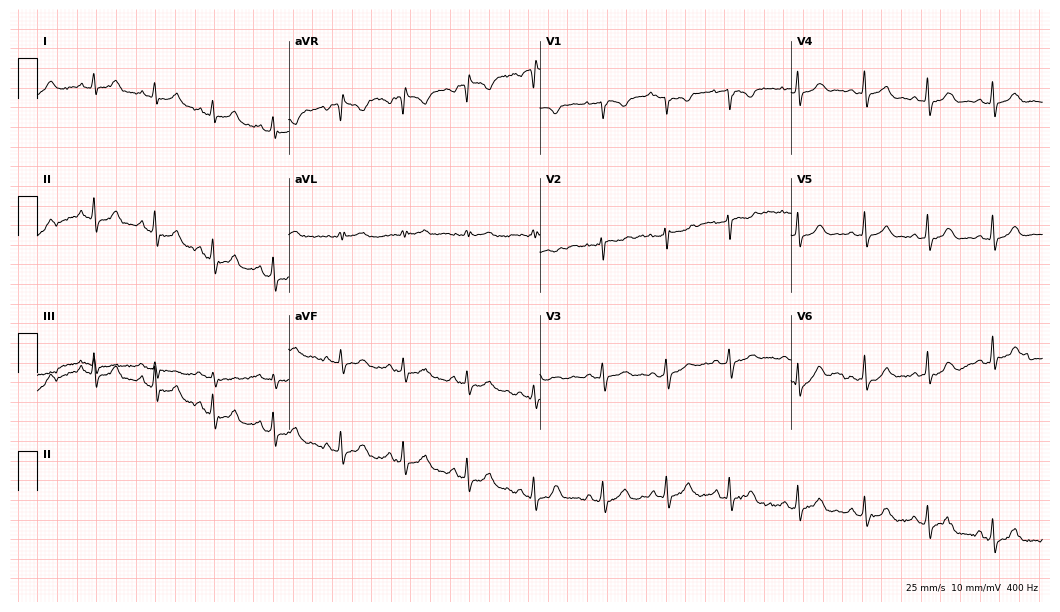
ECG (10.2-second recording at 400 Hz) — an 18-year-old woman. Labelled as a normal ECG.